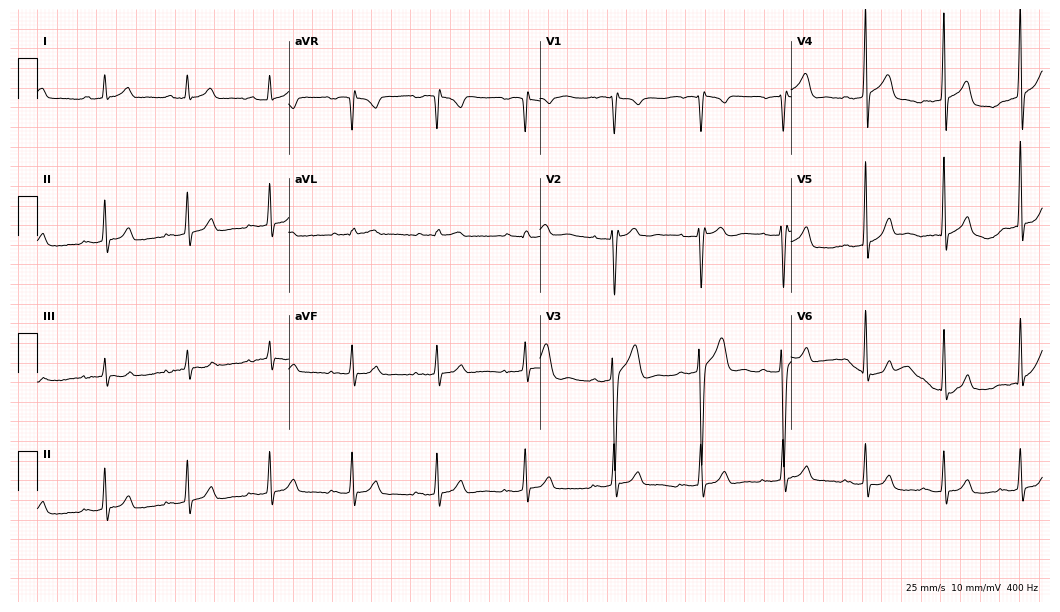
Resting 12-lead electrocardiogram. Patient: a 17-year-old male. Read as a normal ECG.